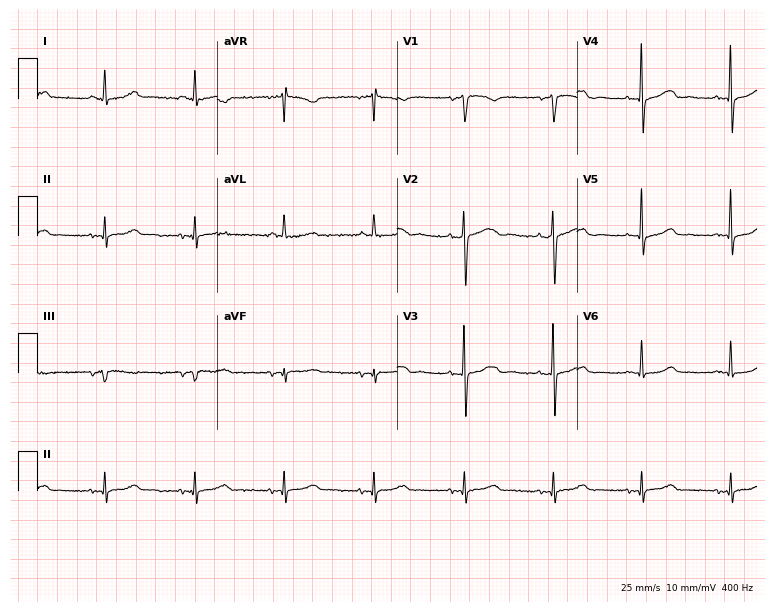
12-lead ECG from an 83-year-old woman. No first-degree AV block, right bundle branch block, left bundle branch block, sinus bradycardia, atrial fibrillation or sinus tachycardia recorded for this tracing.